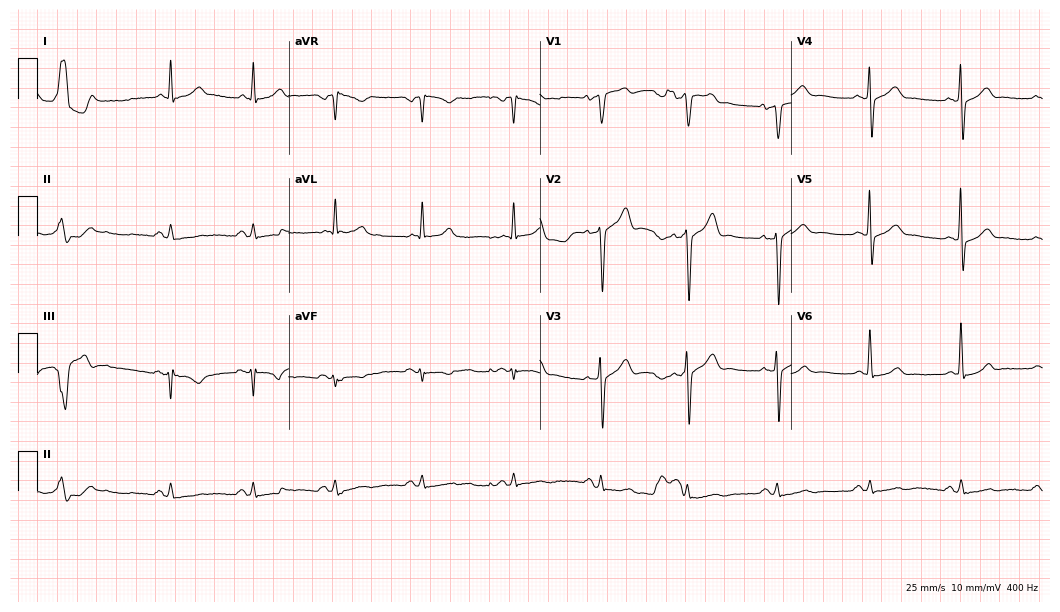
12-lead ECG from a male patient, 61 years old. Screened for six findings — first-degree AV block, right bundle branch block, left bundle branch block, sinus bradycardia, atrial fibrillation, sinus tachycardia — none is recorded. Only these six findings were labelled.